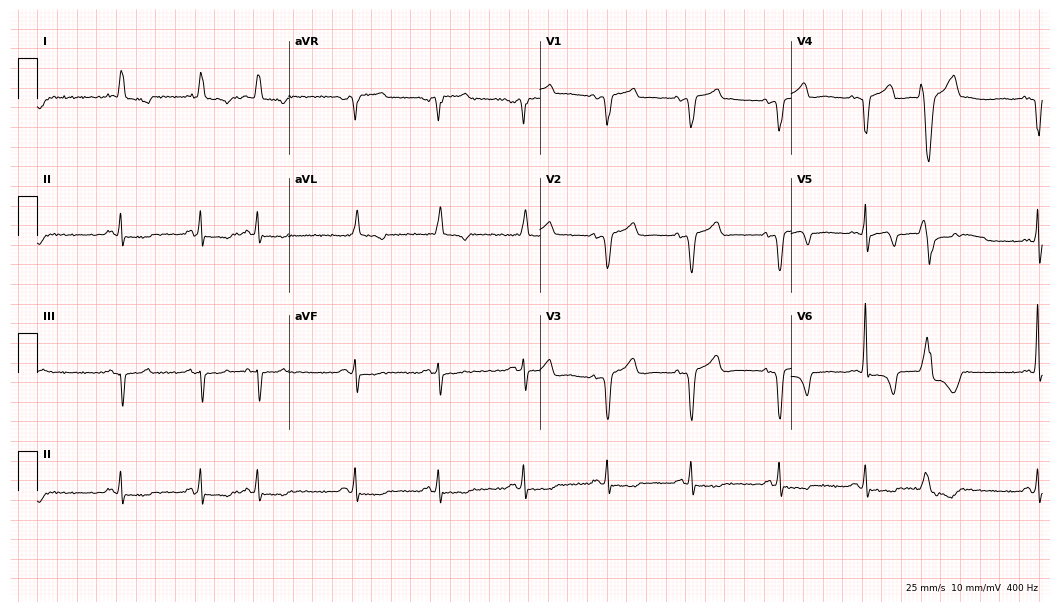
Electrocardiogram (10.2-second recording at 400 Hz), a male patient, 75 years old. Of the six screened findings (first-degree AV block, right bundle branch block, left bundle branch block, sinus bradycardia, atrial fibrillation, sinus tachycardia), none is recorded.